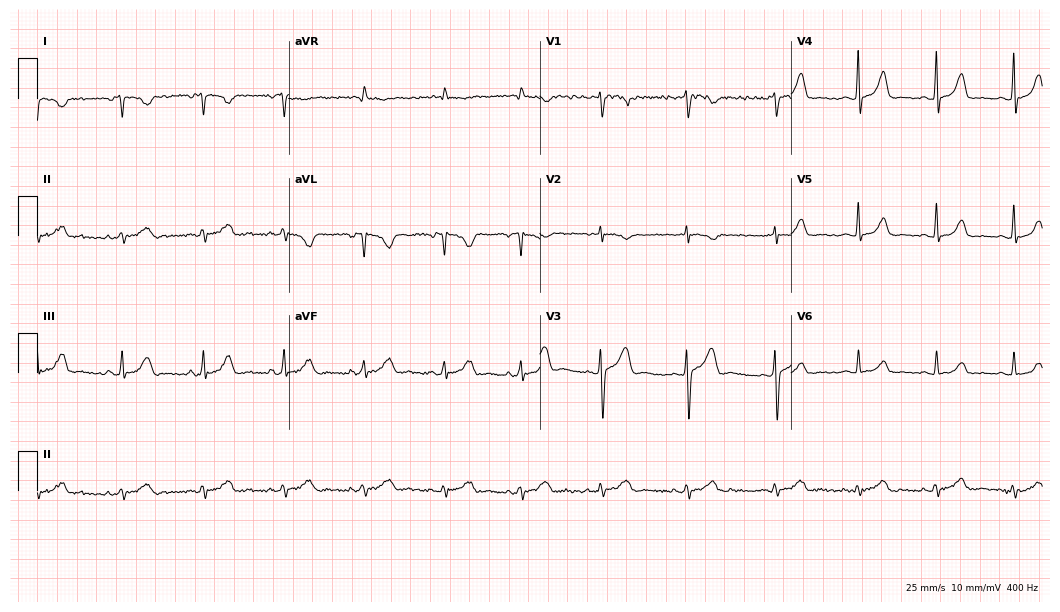
Electrocardiogram, a 22-year-old female patient. Of the six screened findings (first-degree AV block, right bundle branch block (RBBB), left bundle branch block (LBBB), sinus bradycardia, atrial fibrillation (AF), sinus tachycardia), none is recorded. Findings outside these six are not listed.